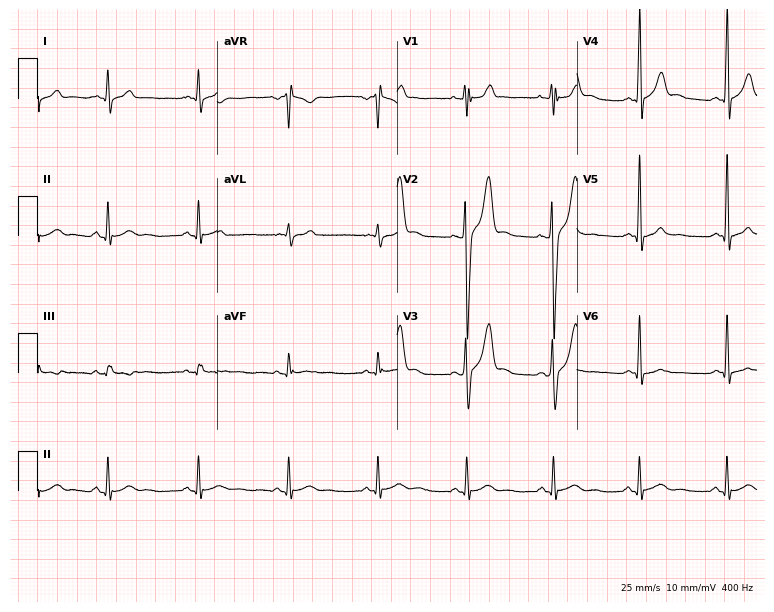
12-lead ECG from a 24-year-old man (7.3-second recording at 400 Hz). No first-degree AV block, right bundle branch block, left bundle branch block, sinus bradycardia, atrial fibrillation or sinus tachycardia recorded for this tracing. Findings outside these six are not listed.